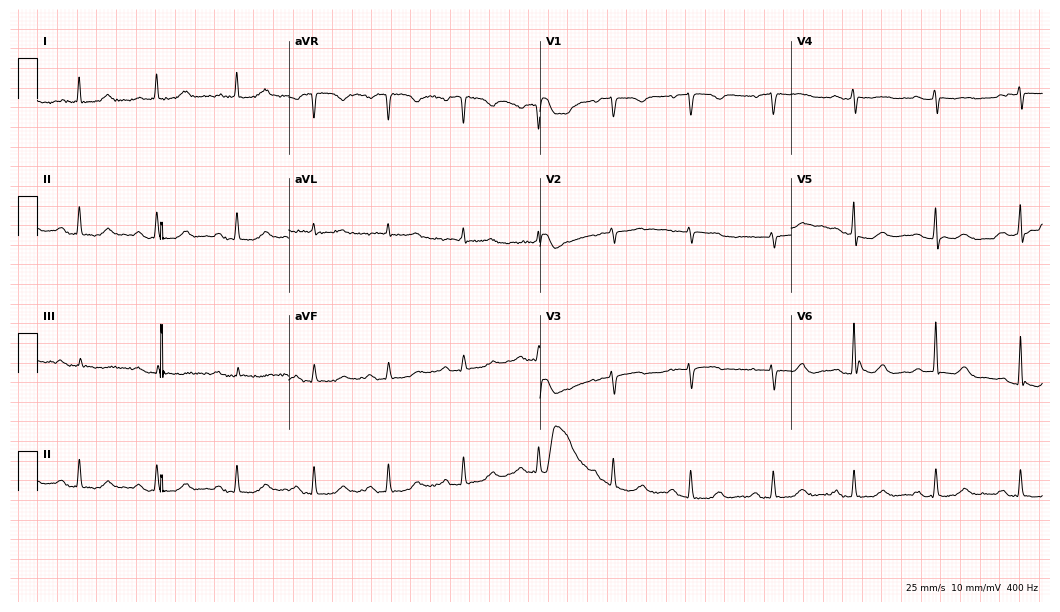
12-lead ECG from a female, 82 years old. Labelled as a normal ECG.